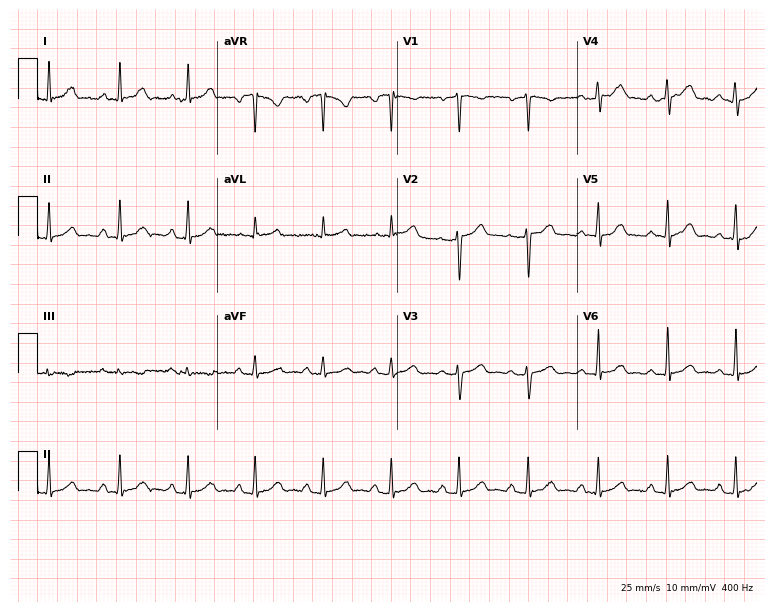
Electrocardiogram (7.3-second recording at 400 Hz), a female patient, 22 years old. Overall reading on record: normal ECG.